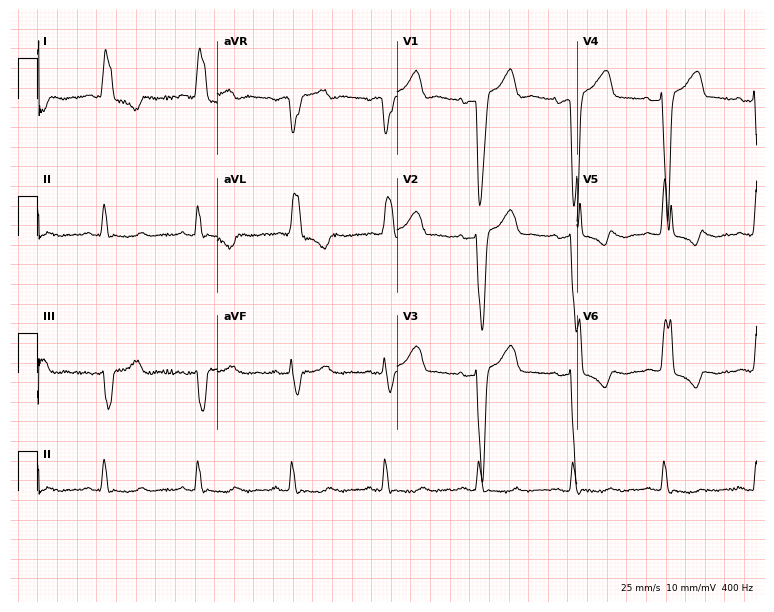
ECG — an 84-year-old woman. Findings include left bundle branch block.